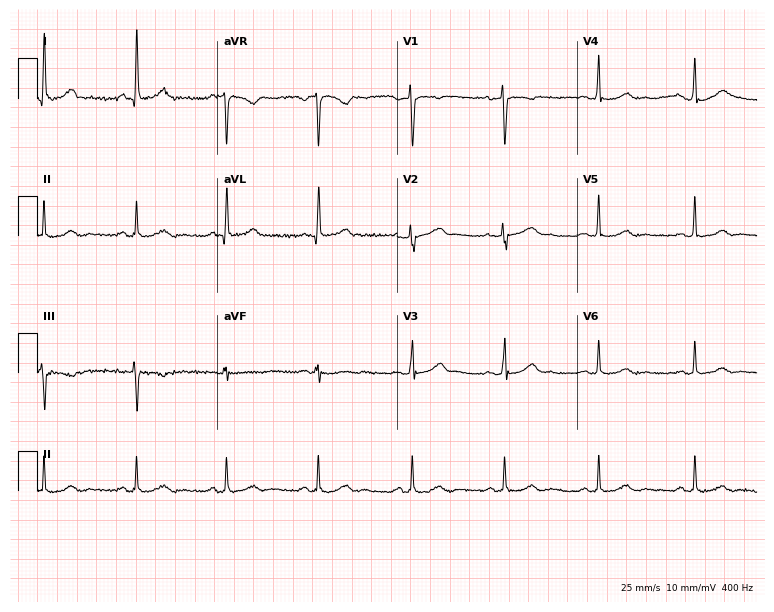
Standard 12-lead ECG recorded from a 45-year-old female. None of these six findings is recorded: first-degree AV block, right bundle branch block, left bundle branch block, sinus bradycardia, atrial fibrillation, sinus tachycardia. Only these six findings were labelled.